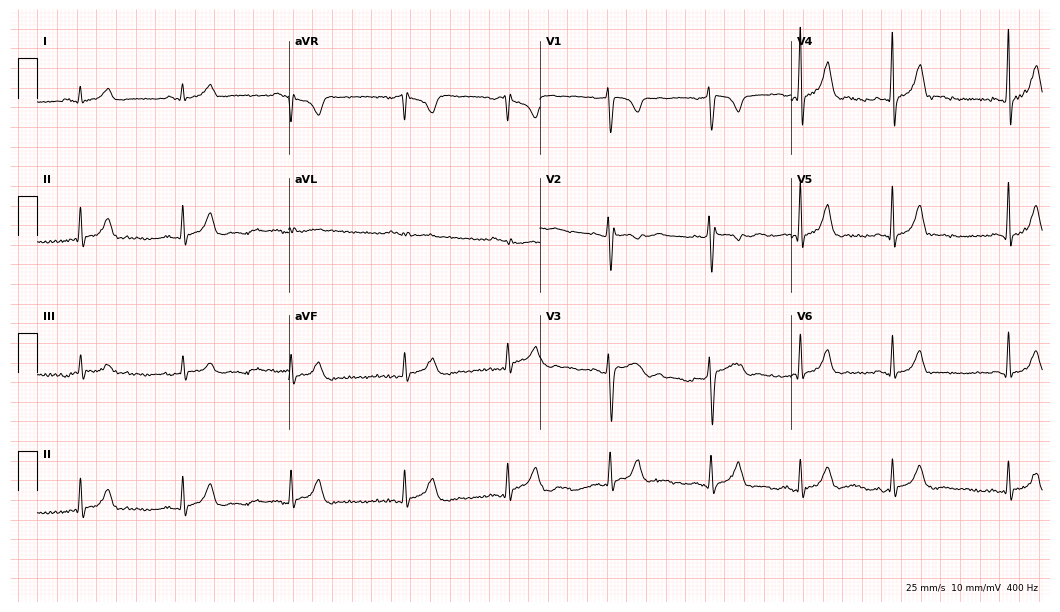
12-lead ECG from a male patient, 21 years old (10.2-second recording at 400 Hz). Recorded interpretation: within normal limits.